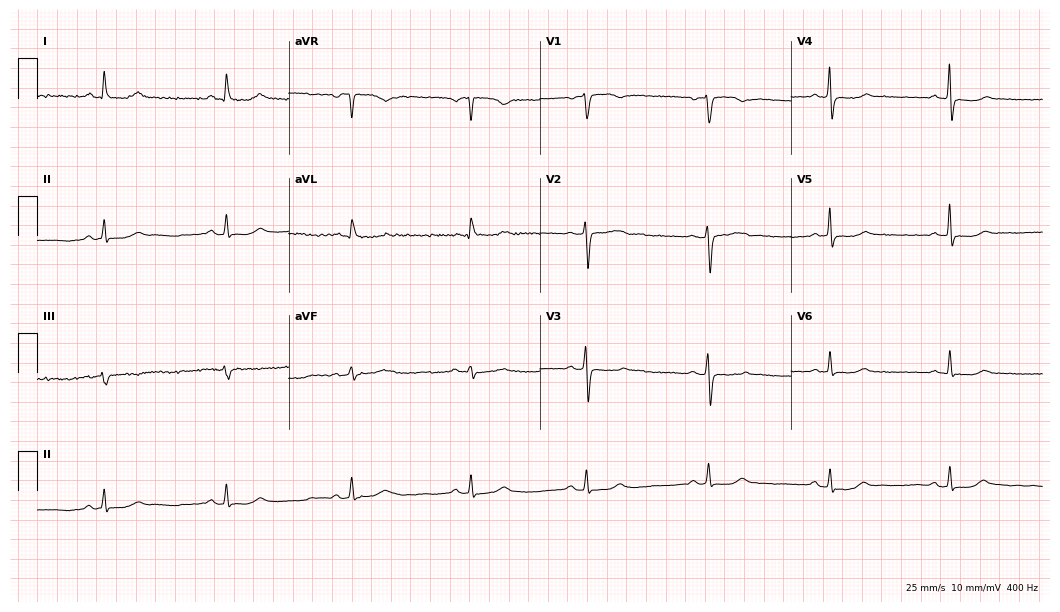
12-lead ECG from a 62-year-old female. Findings include sinus bradycardia (a sinus rate of 50 beats per minute or less).